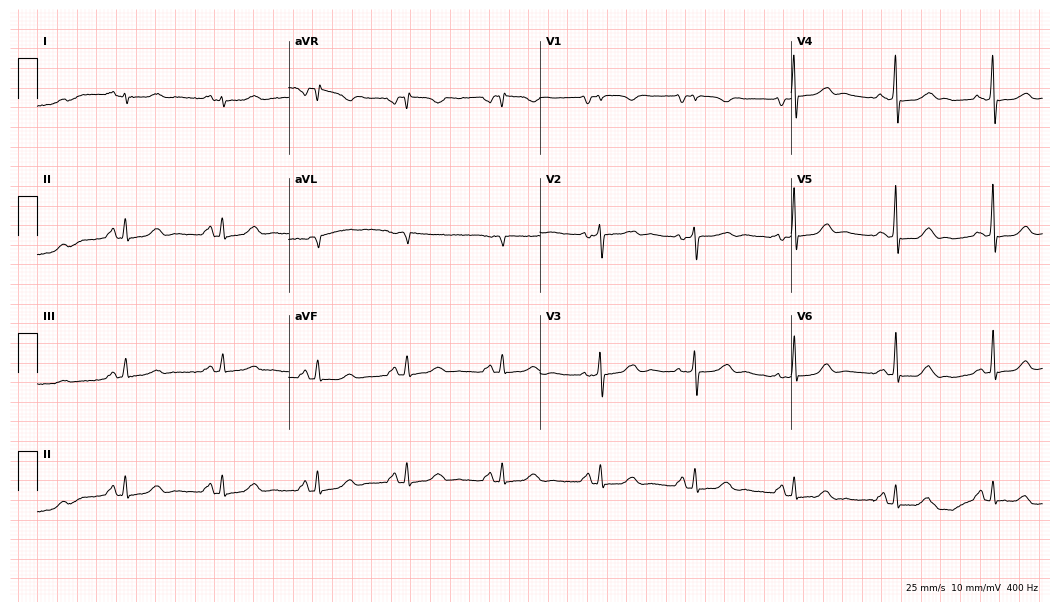
12-lead ECG from a female, 42 years old. No first-degree AV block, right bundle branch block, left bundle branch block, sinus bradycardia, atrial fibrillation or sinus tachycardia recorded for this tracing.